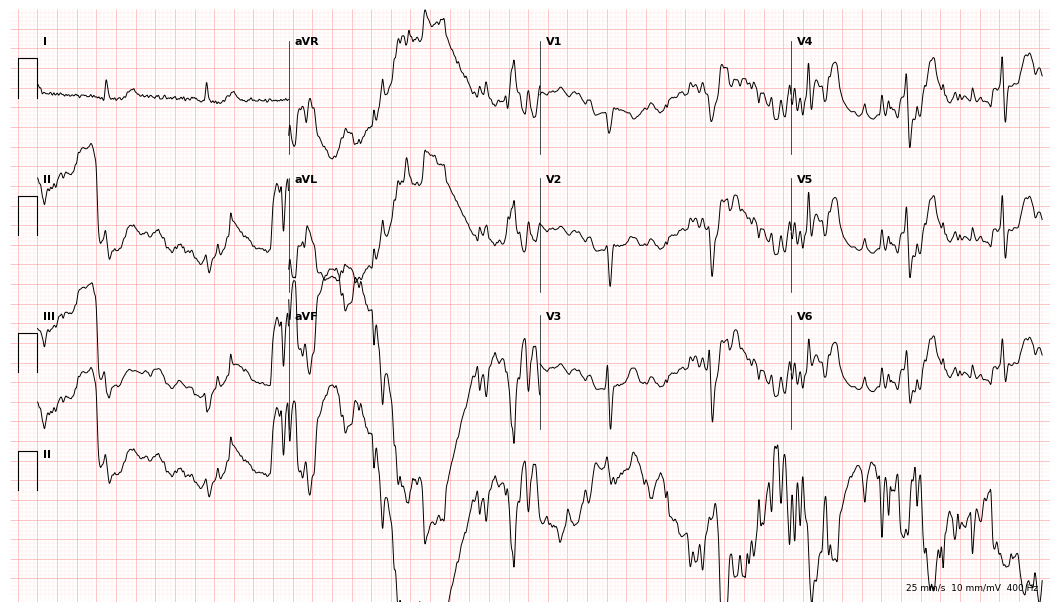
Resting 12-lead electrocardiogram. Patient: a man, 73 years old. None of these six findings is recorded: first-degree AV block, right bundle branch block (RBBB), left bundle branch block (LBBB), sinus bradycardia, atrial fibrillation (AF), sinus tachycardia.